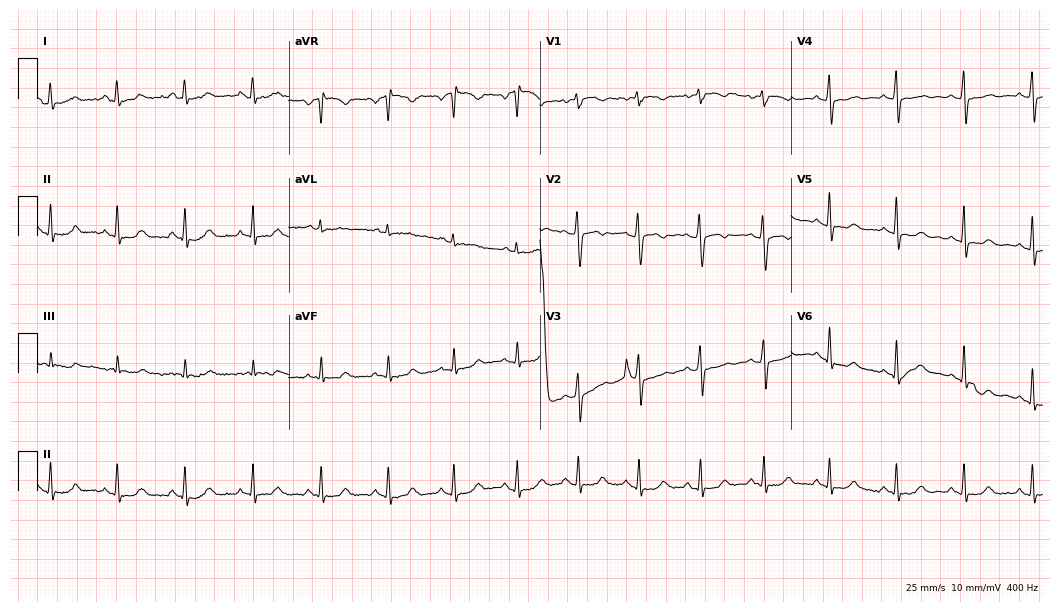
12-lead ECG from a woman, 56 years old. Screened for six findings — first-degree AV block, right bundle branch block, left bundle branch block, sinus bradycardia, atrial fibrillation, sinus tachycardia — none is recorded. Other findings, if any, are not listed.